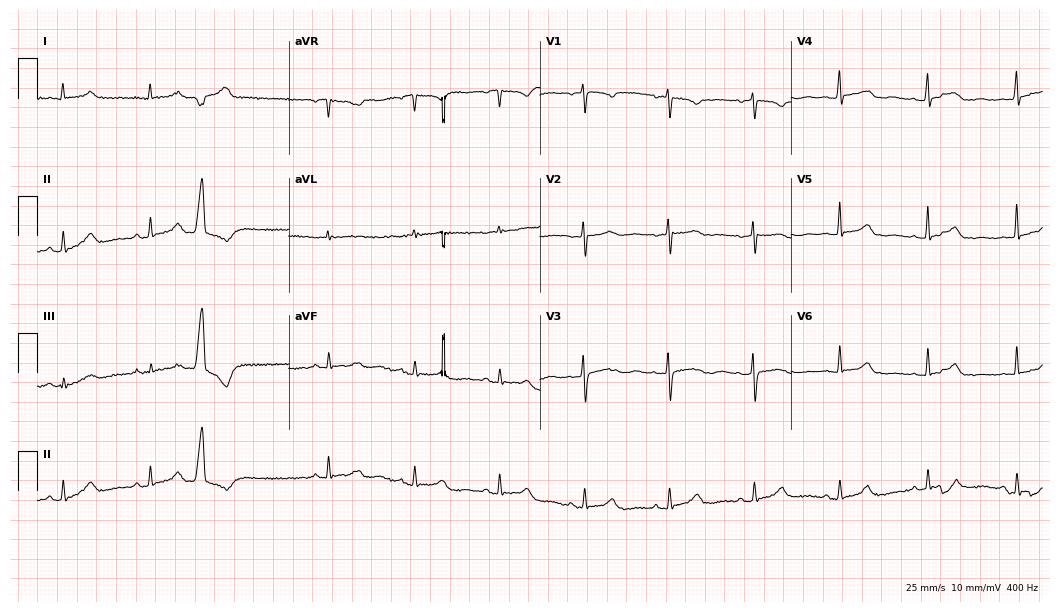
12-lead ECG from a 46-year-old woman. No first-degree AV block, right bundle branch block, left bundle branch block, sinus bradycardia, atrial fibrillation or sinus tachycardia recorded for this tracing.